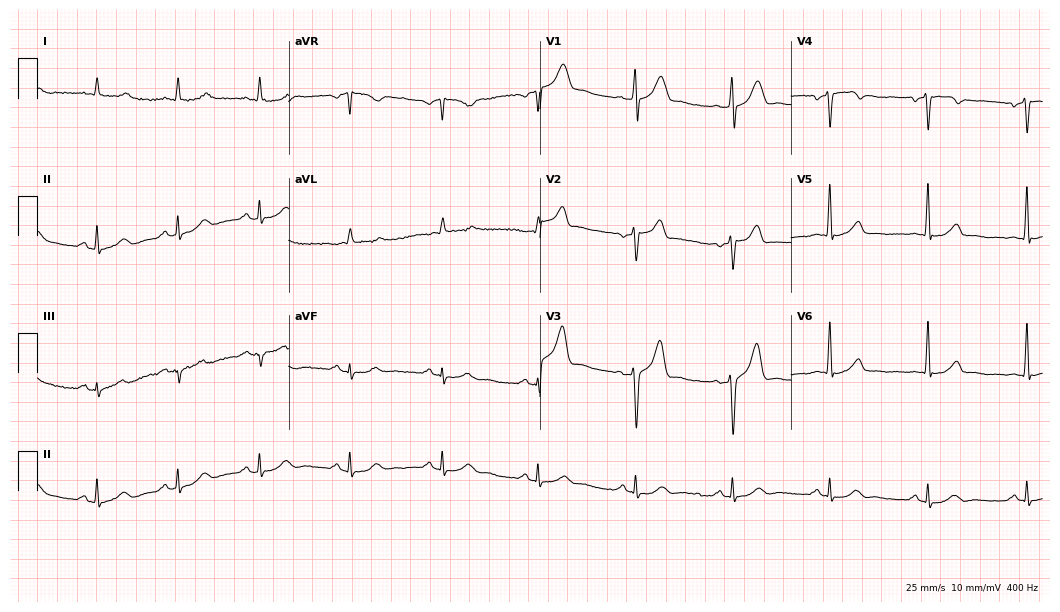
ECG (10.2-second recording at 400 Hz) — a male, 56 years old. Screened for six findings — first-degree AV block, right bundle branch block, left bundle branch block, sinus bradycardia, atrial fibrillation, sinus tachycardia — none is recorded.